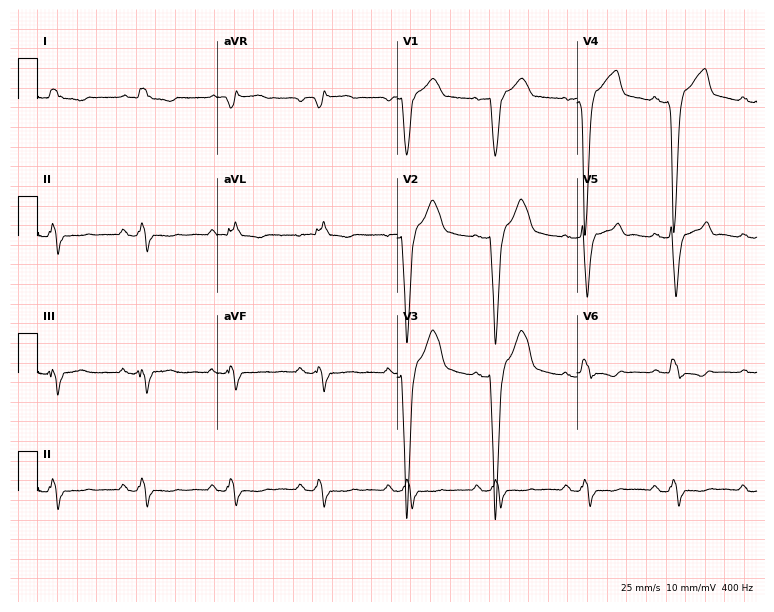
ECG — a 54-year-old male patient. Findings include left bundle branch block.